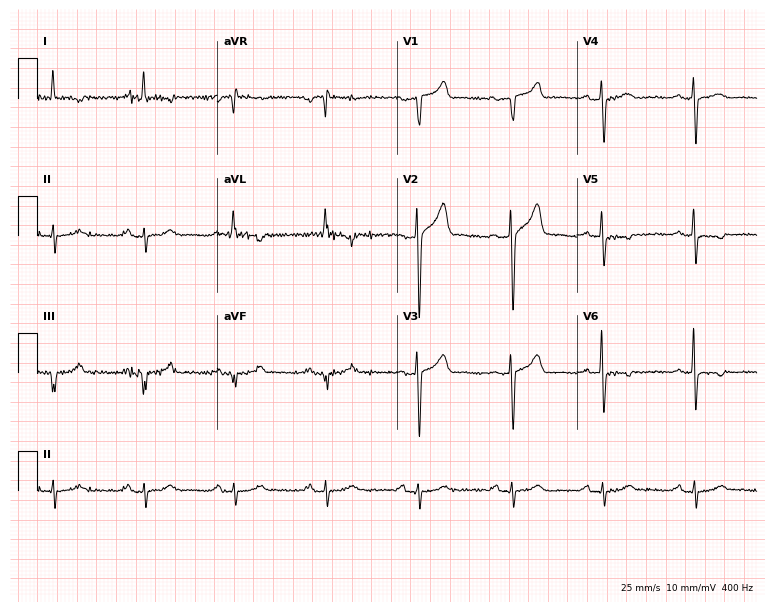
Electrocardiogram, a 63-year-old male. Of the six screened findings (first-degree AV block, right bundle branch block, left bundle branch block, sinus bradycardia, atrial fibrillation, sinus tachycardia), none is recorded. Other findings, if any, are not listed.